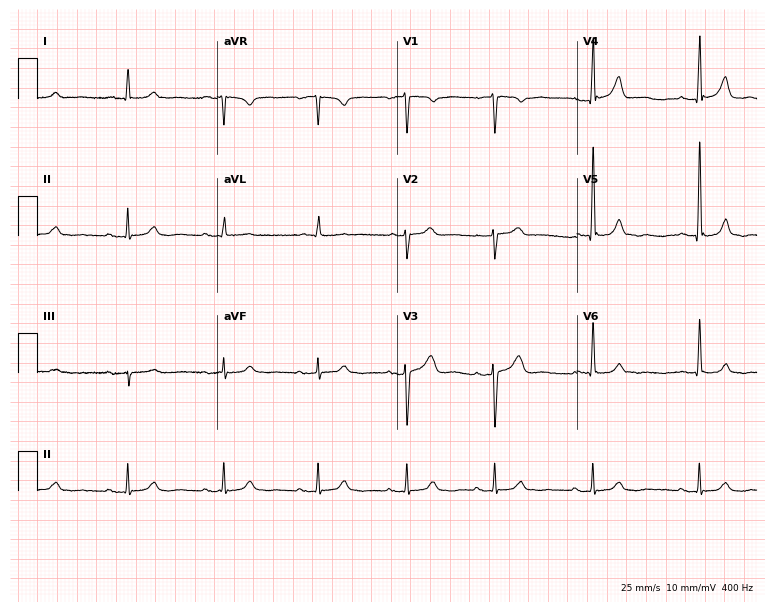
Standard 12-lead ECG recorded from a man, 70 years old (7.3-second recording at 400 Hz). Read as a normal ECG.